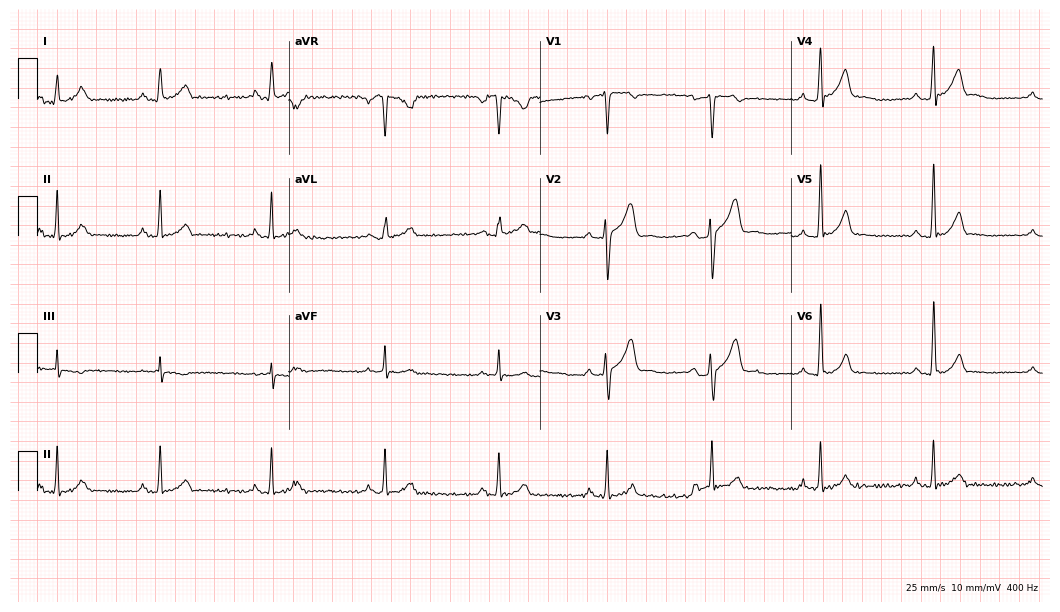
12-lead ECG from a male patient, 37 years old. Labelled as a normal ECG.